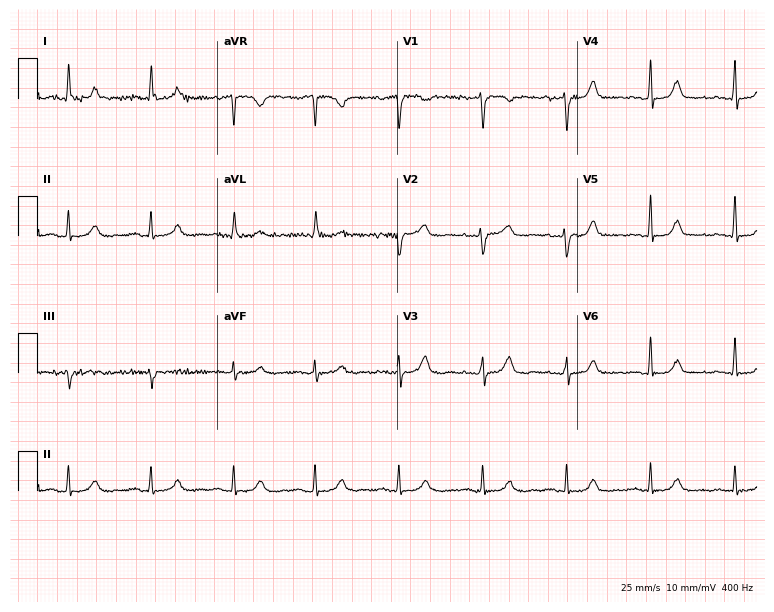
ECG — a female, 69 years old. Labelled as a normal ECG.